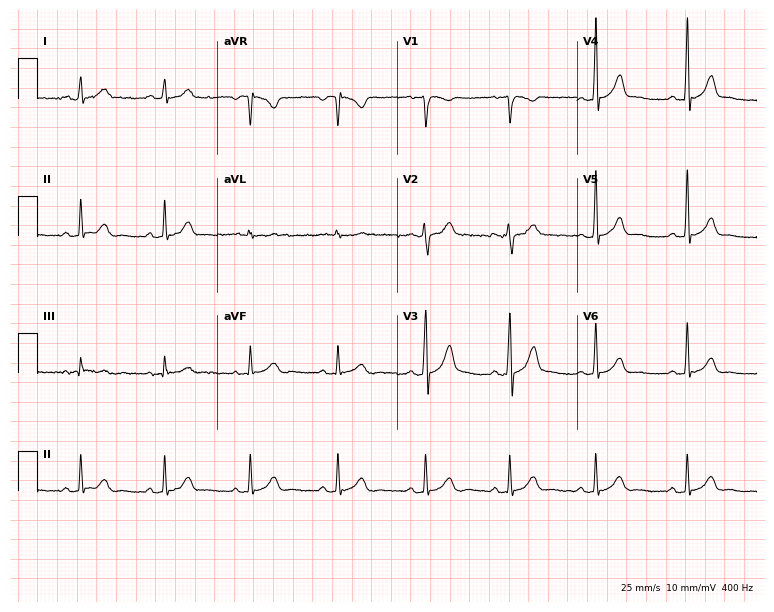
12-lead ECG from a man, 26 years old (7.3-second recording at 400 Hz). Recorded interpretation: within normal limits.